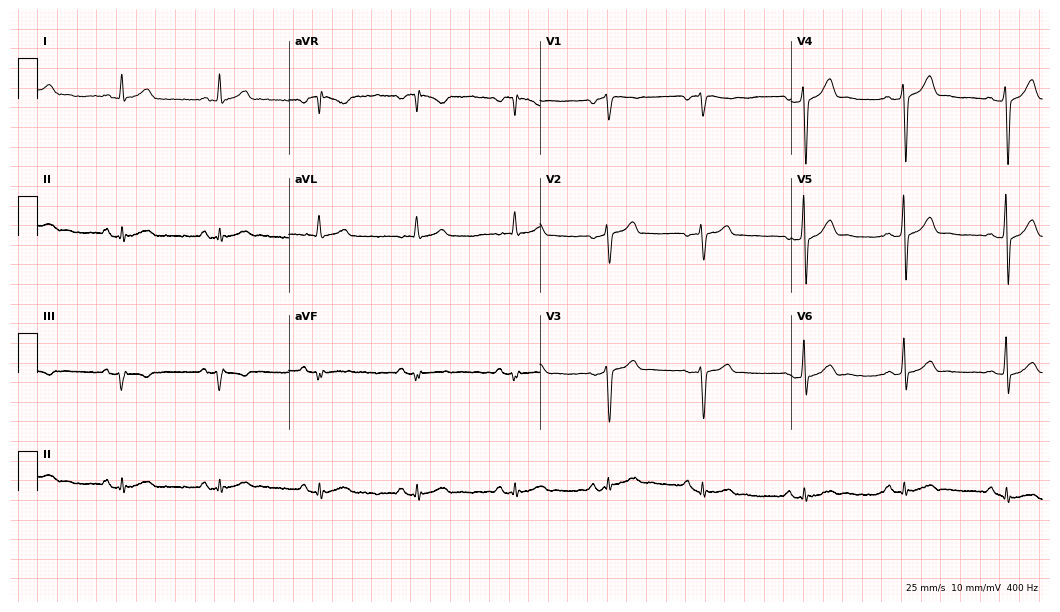
Electrocardiogram, a 48-year-old male patient. Overall reading on record: normal ECG.